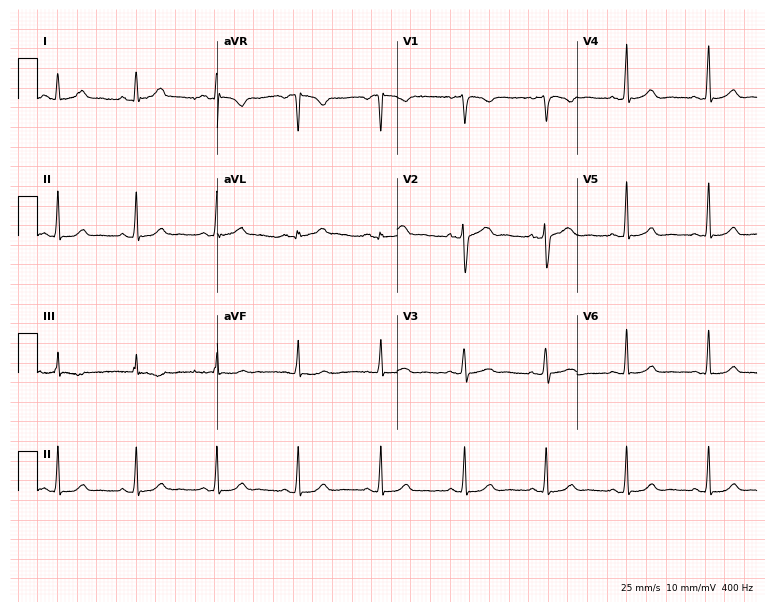
ECG (7.3-second recording at 400 Hz) — a woman, 37 years old. Labelled as a normal ECG.